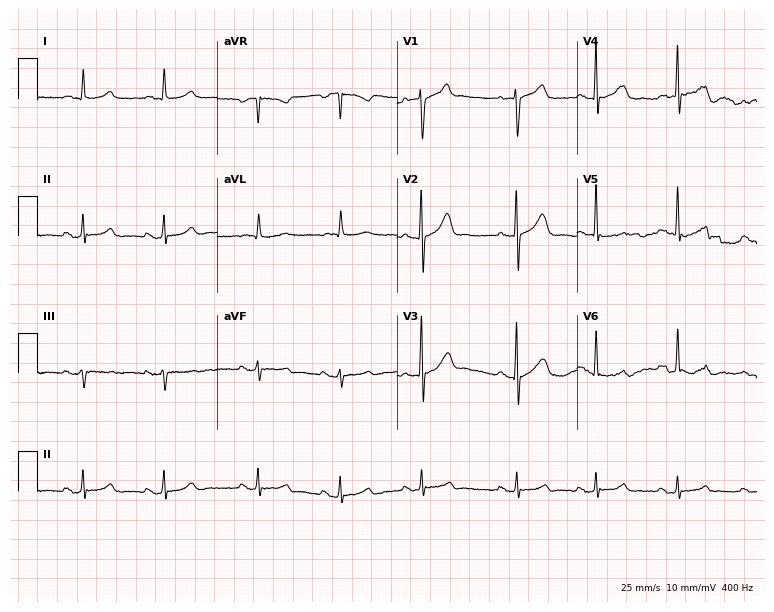
12-lead ECG from a 75-year-old man. Labelled as a normal ECG.